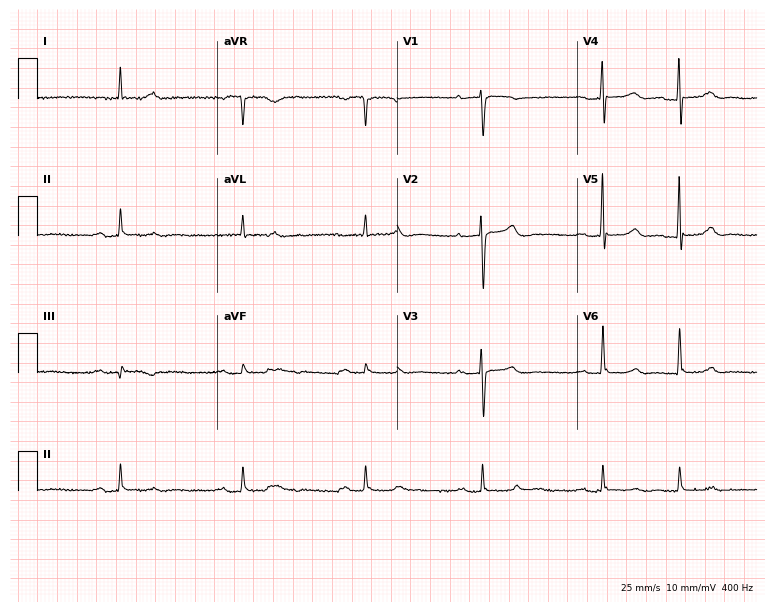
Standard 12-lead ECG recorded from a female patient, 82 years old (7.3-second recording at 400 Hz). The tracing shows first-degree AV block.